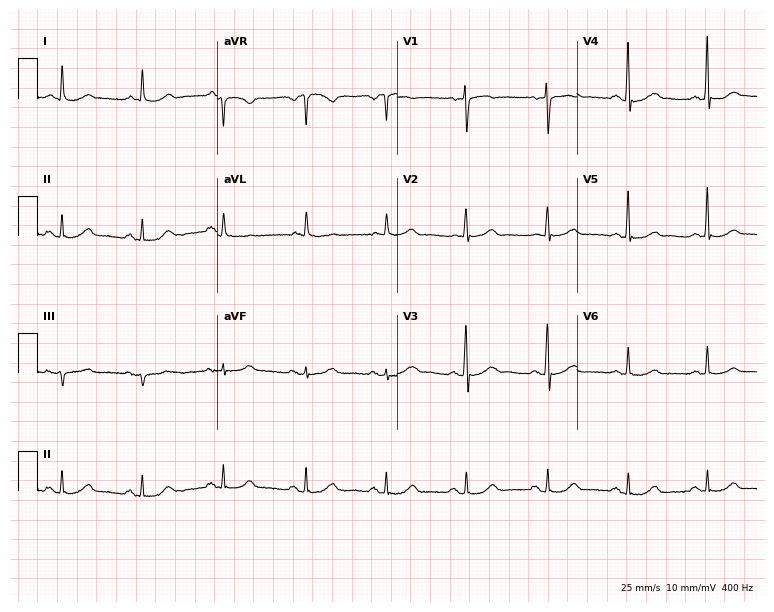
ECG — a 70-year-old woman. Labelled as a normal ECG.